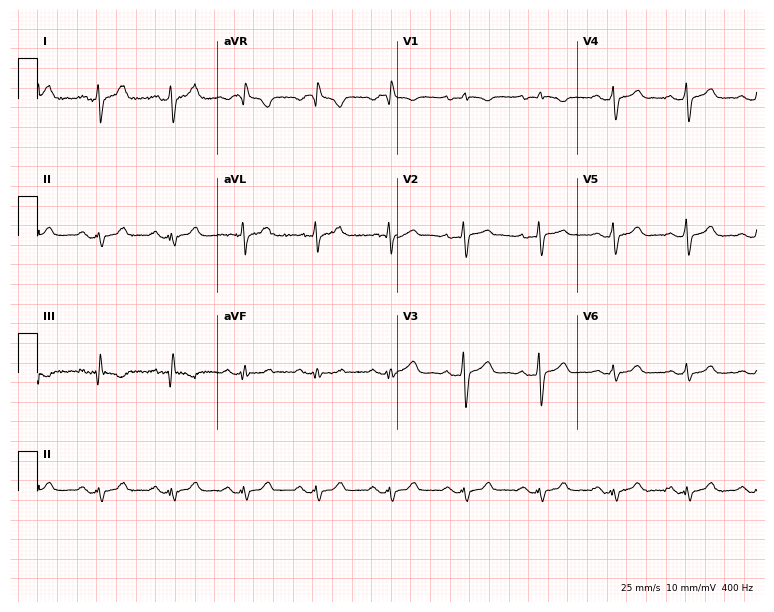
Electrocardiogram, a 46-year-old female. Overall reading on record: normal ECG.